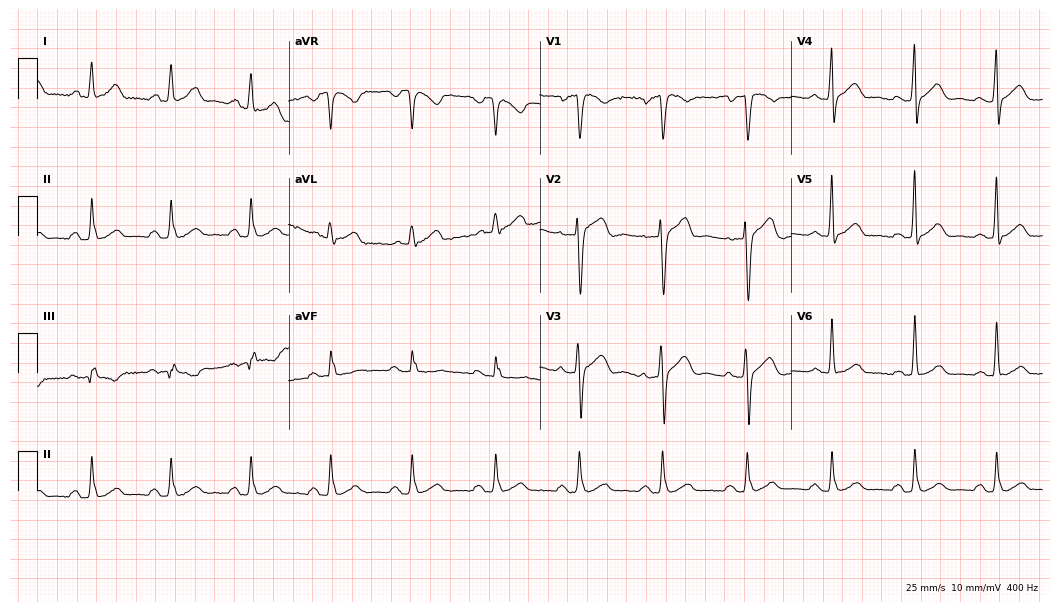
12-lead ECG from a male patient, 48 years old. Recorded interpretation: within normal limits.